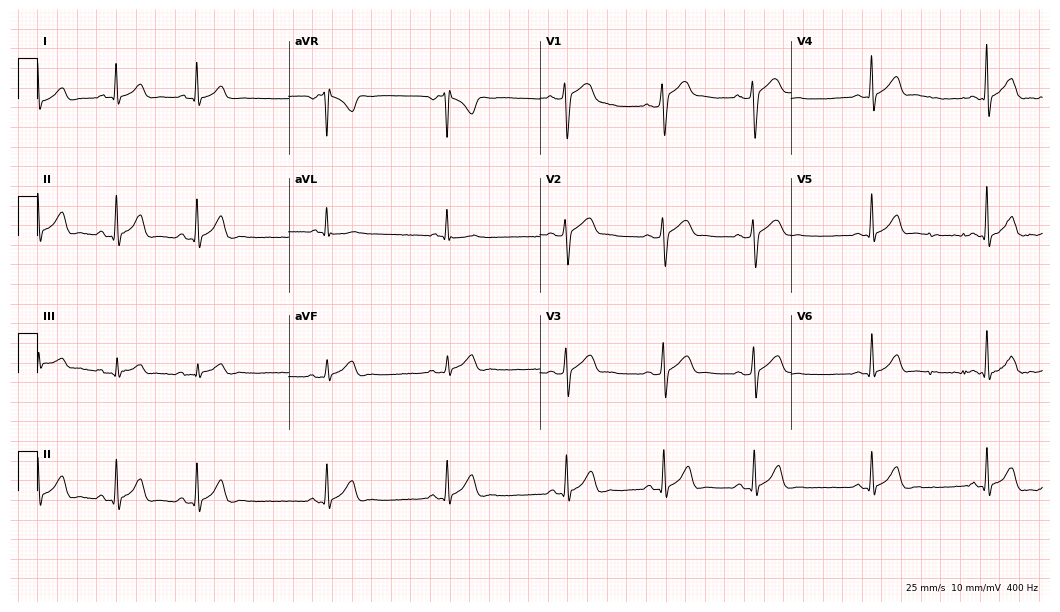
12-lead ECG from a male patient, 28 years old. Recorded interpretation: within normal limits.